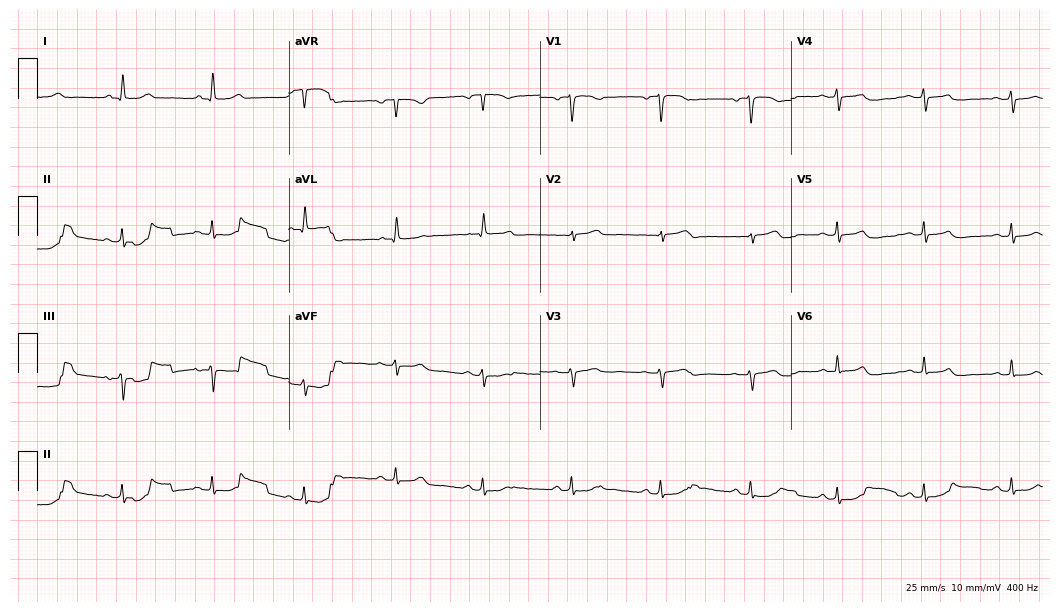
Resting 12-lead electrocardiogram. Patient: a 57-year-old female. None of these six findings is recorded: first-degree AV block, right bundle branch block (RBBB), left bundle branch block (LBBB), sinus bradycardia, atrial fibrillation (AF), sinus tachycardia. Only these six findings were labelled.